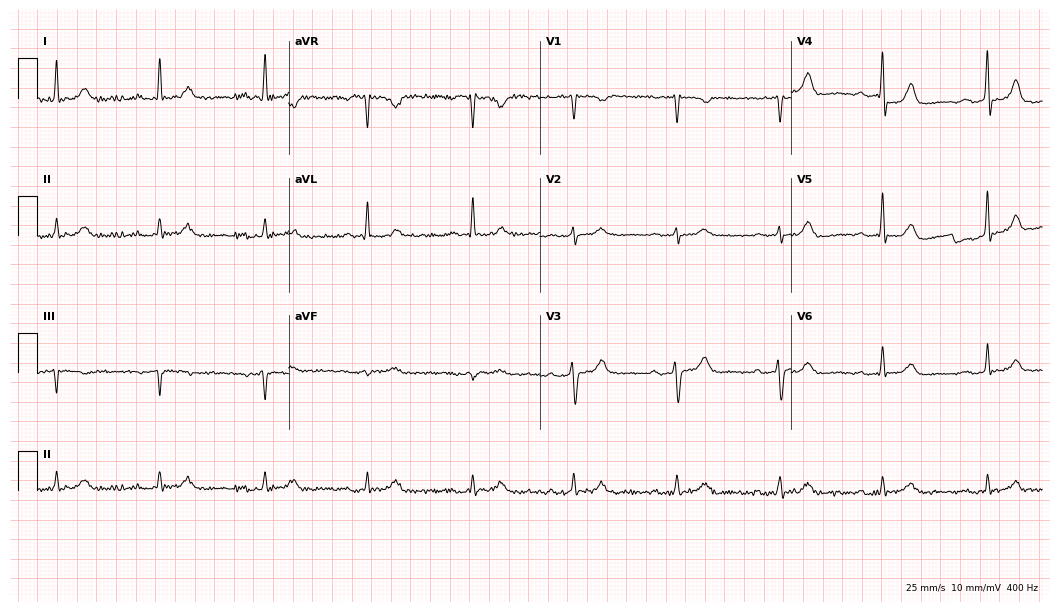
Resting 12-lead electrocardiogram. Patient: a 68-year-old male. Read as a normal ECG.